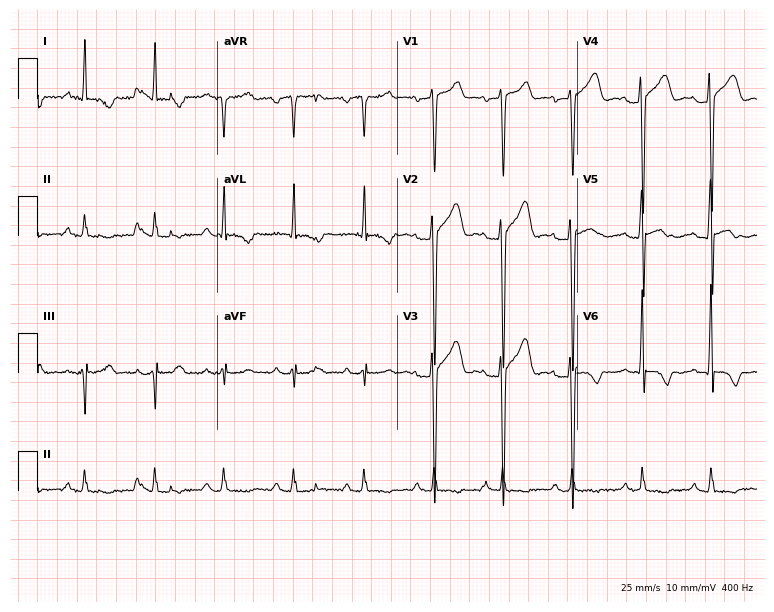
Standard 12-lead ECG recorded from a male, 53 years old. None of these six findings is recorded: first-degree AV block, right bundle branch block (RBBB), left bundle branch block (LBBB), sinus bradycardia, atrial fibrillation (AF), sinus tachycardia. Findings outside these six are not listed.